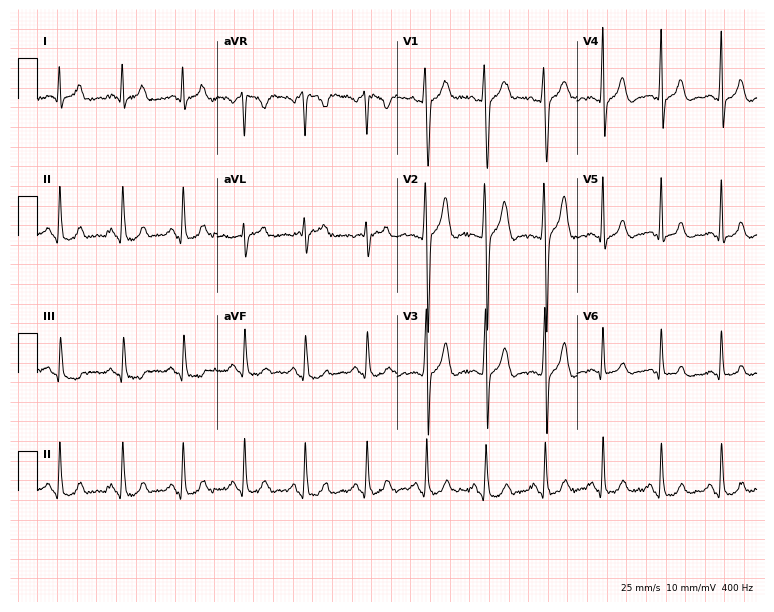
12-lead ECG from a 24-year-old male patient (7.3-second recording at 400 Hz). Recorded interpretation: within normal limits.